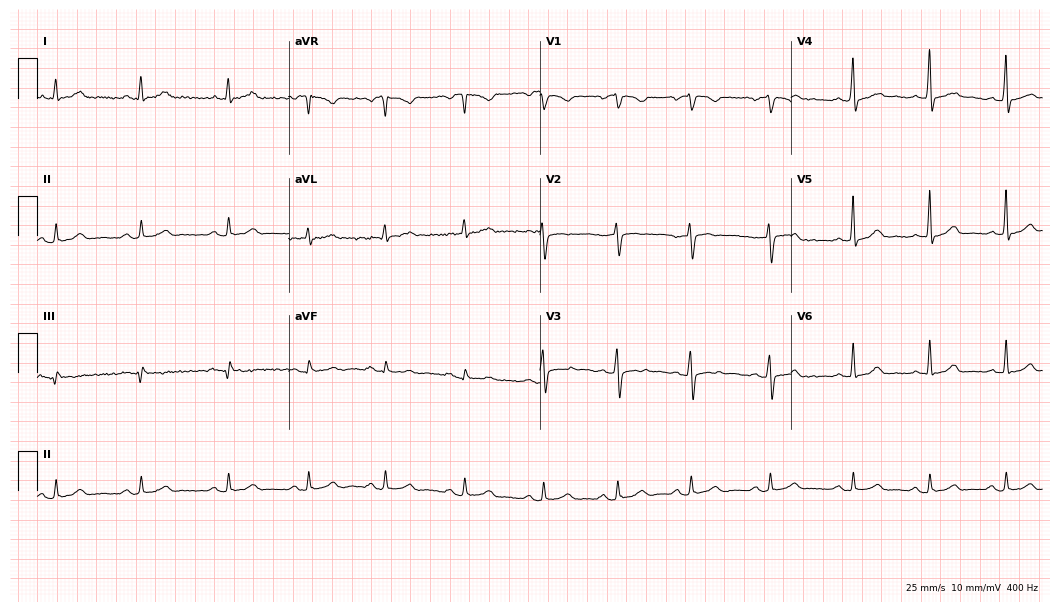
12-lead ECG from a female patient, 35 years old. Labelled as a normal ECG.